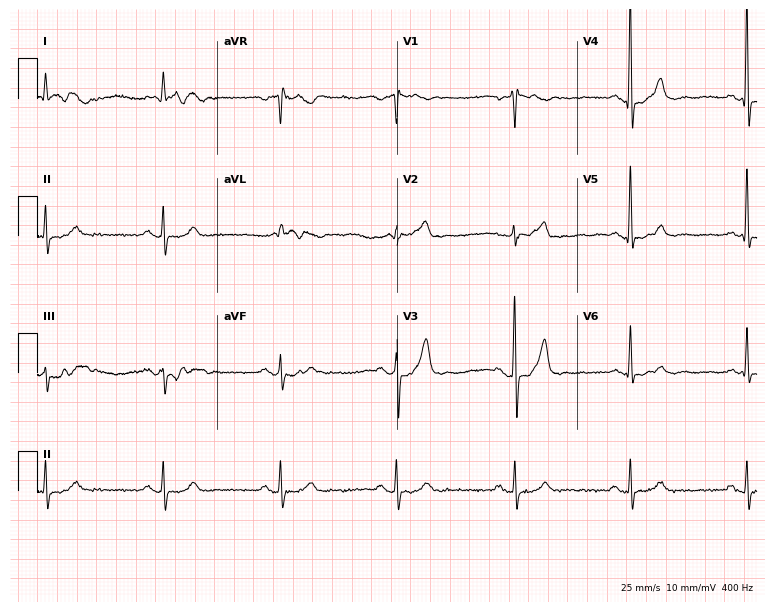
12-lead ECG from a 79-year-old man. No first-degree AV block, right bundle branch block, left bundle branch block, sinus bradycardia, atrial fibrillation or sinus tachycardia recorded for this tracing. Only these six findings were labelled.